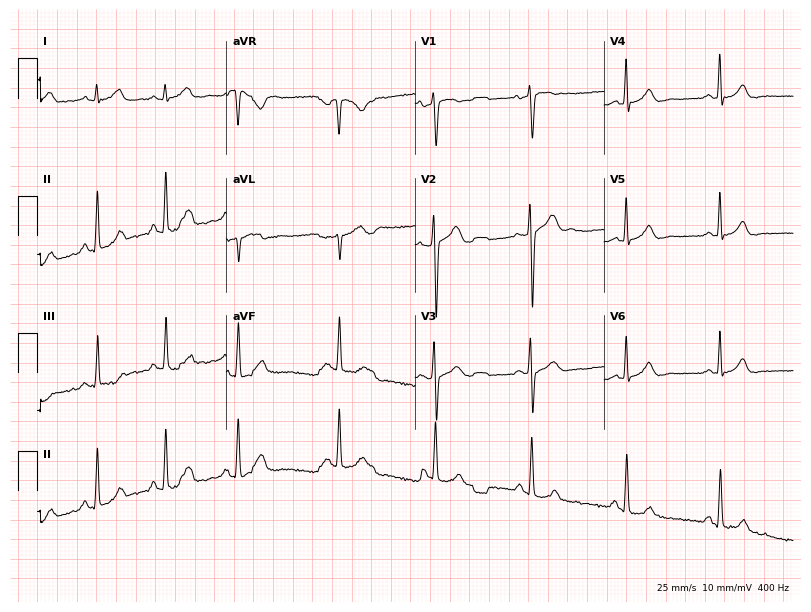
ECG — a 51-year-old woman. Labelled as a normal ECG.